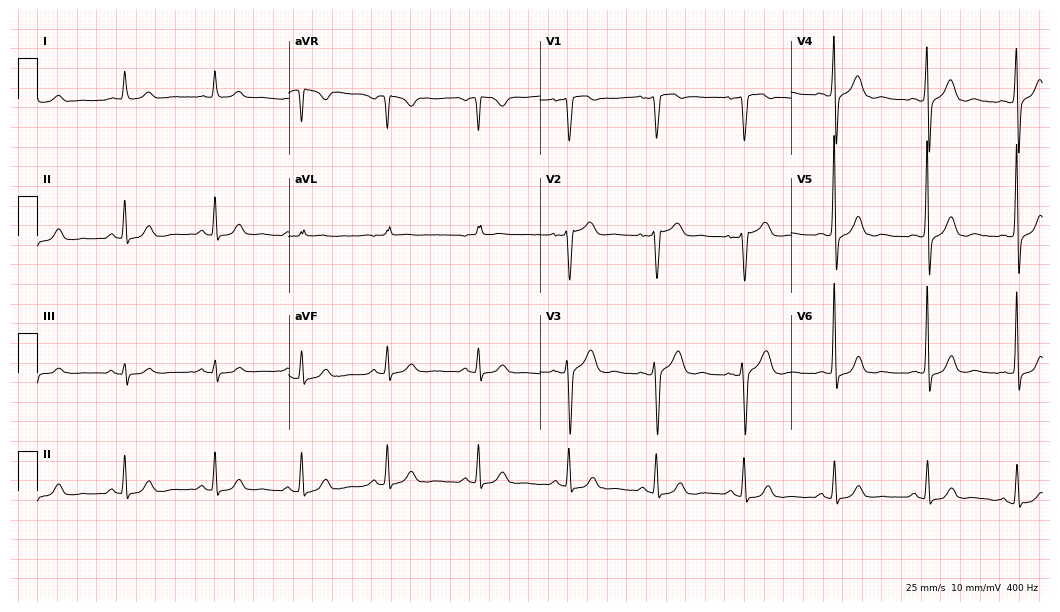
12-lead ECG from a 61-year-old male (10.2-second recording at 400 Hz). Recorded interpretation: within normal limits.